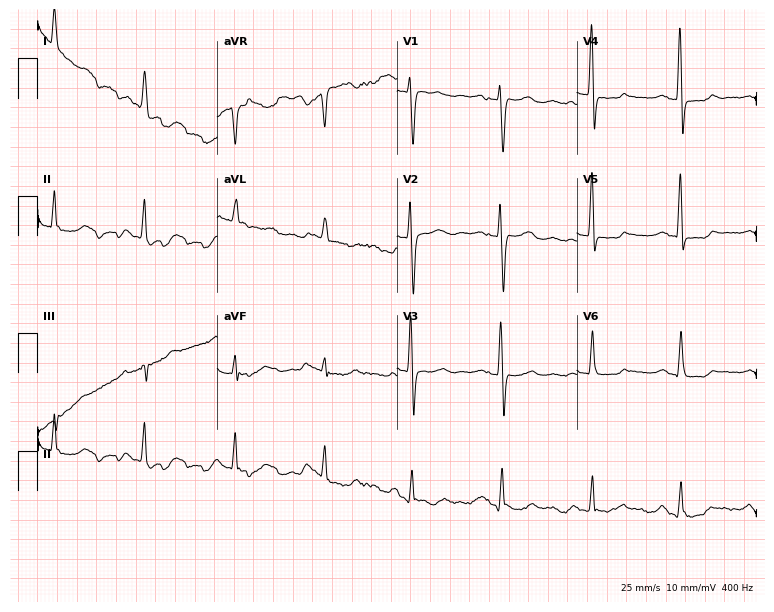
Electrocardiogram (7.3-second recording at 400 Hz), a female, 81 years old. Of the six screened findings (first-degree AV block, right bundle branch block (RBBB), left bundle branch block (LBBB), sinus bradycardia, atrial fibrillation (AF), sinus tachycardia), none is recorded. Only these six findings were labelled.